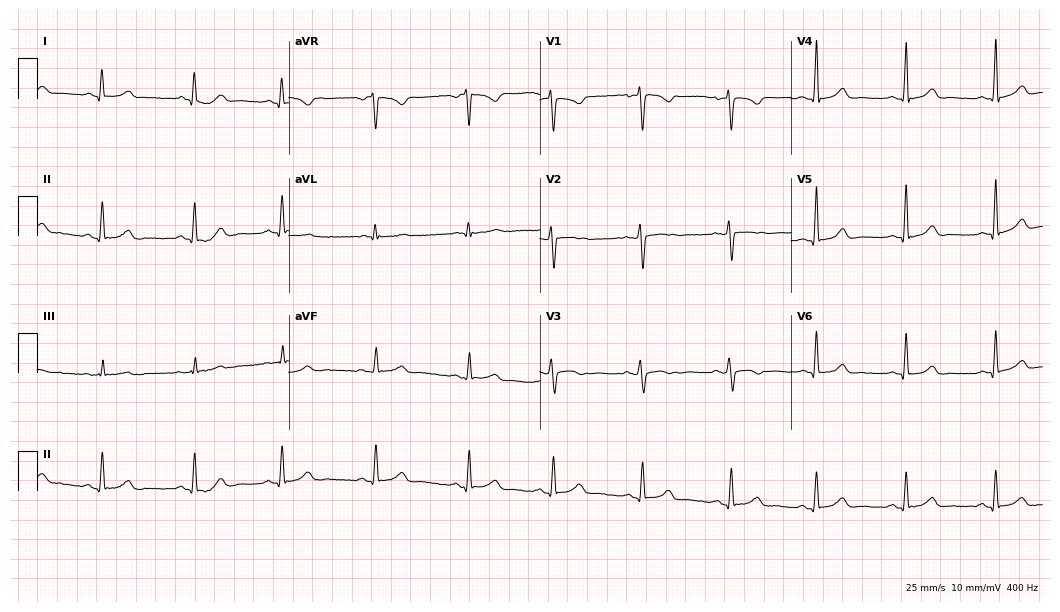
Electrocardiogram (10.2-second recording at 400 Hz), a female, 31 years old. Overall reading on record: normal ECG.